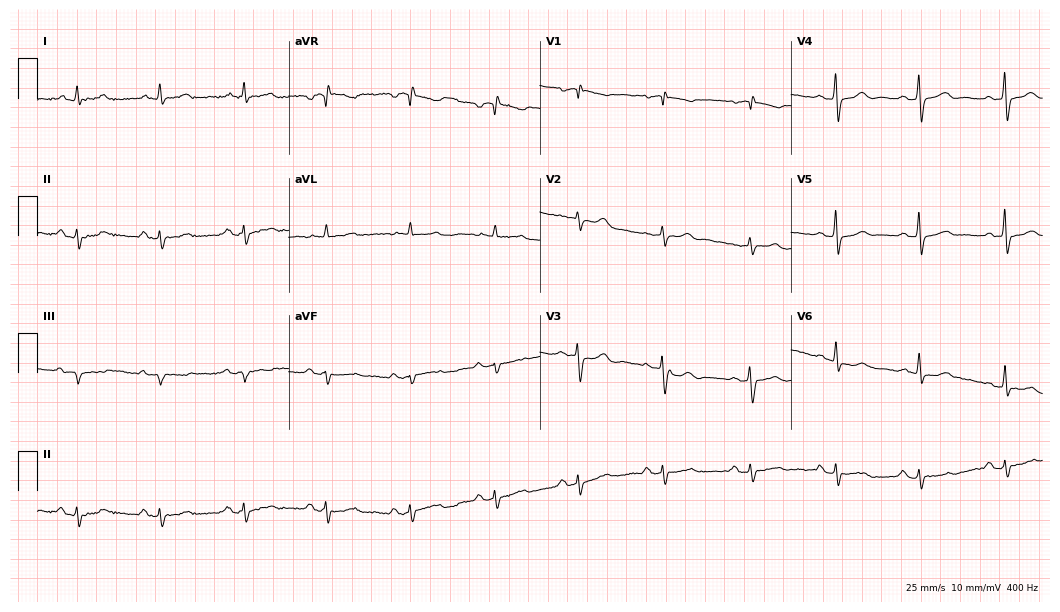
Standard 12-lead ECG recorded from a male, 77 years old (10.2-second recording at 400 Hz). None of these six findings is recorded: first-degree AV block, right bundle branch block (RBBB), left bundle branch block (LBBB), sinus bradycardia, atrial fibrillation (AF), sinus tachycardia.